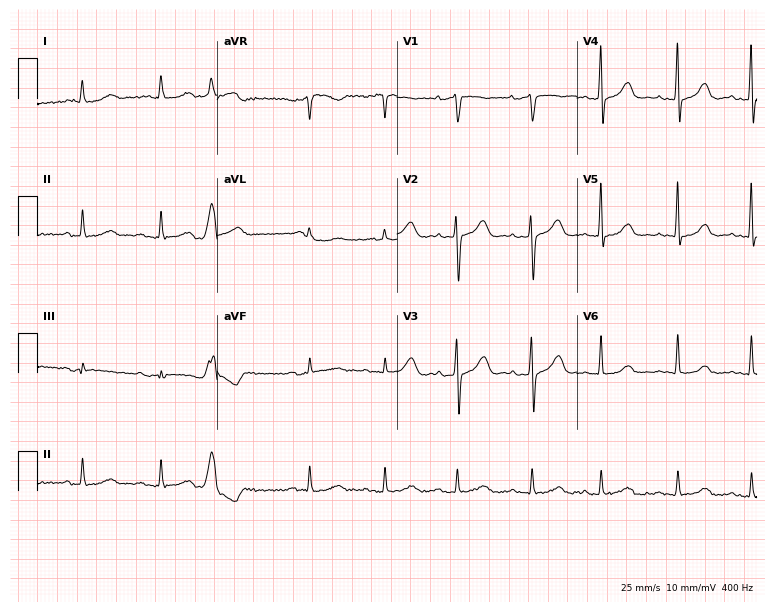
Standard 12-lead ECG recorded from a female patient, 82 years old (7.3-second recording at 400 Hz). None of these six findings is recorded: first-degree AV block, right bundle branch block, left bundle branch block, sinus bradycardia, atrial fibrillation, sinus tachycardia.